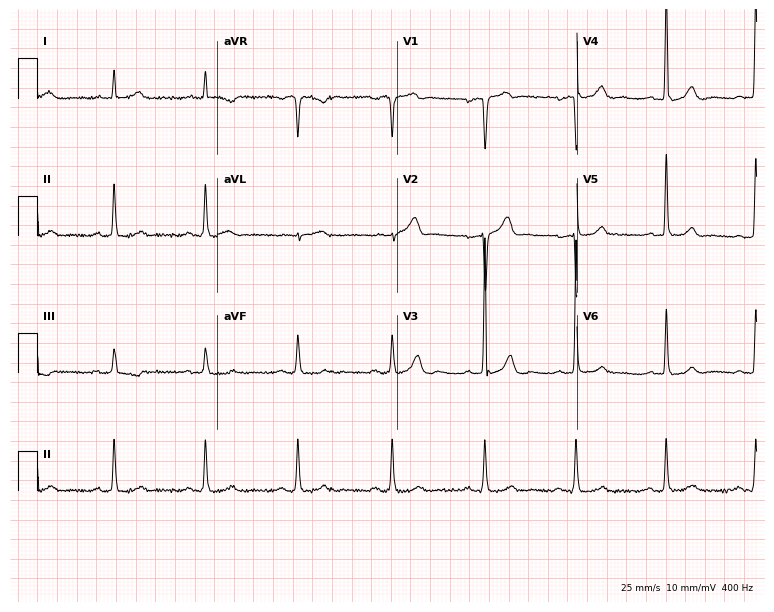
12-lead ECG from a man, 59 years old. Labelled as a normal ECG.